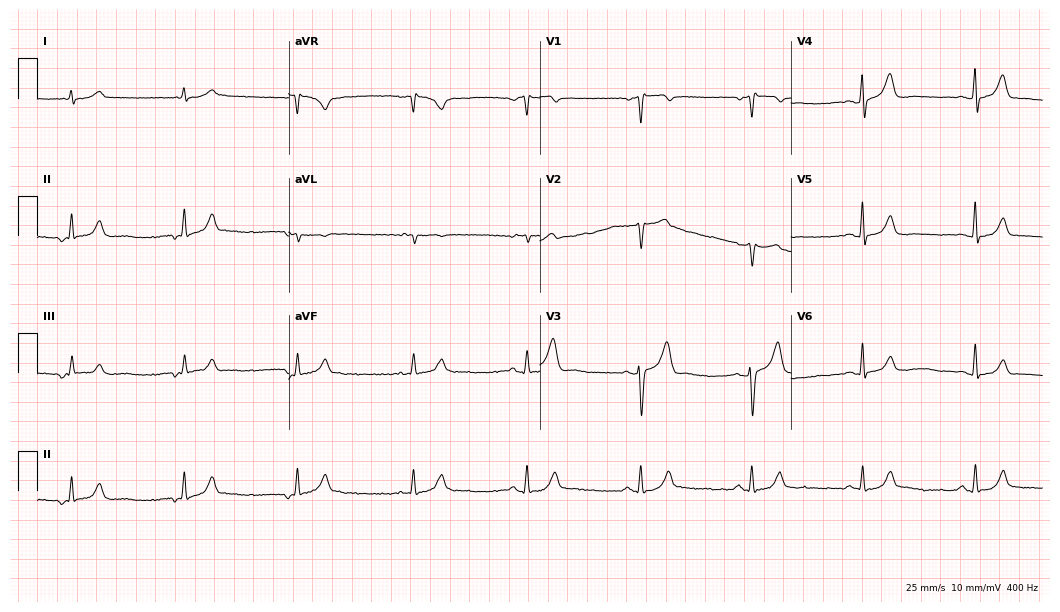
Electrocardiogram, a 67-year-old male patient. Of the six screened findings (first-degree AV block, right bundle branch block (RBBB), left bundle branch block (LBBB), sinus bradycardia, atrial fibrillation (AF), sinus tachycardia), none is recorded. Findings outside these six are not listed.